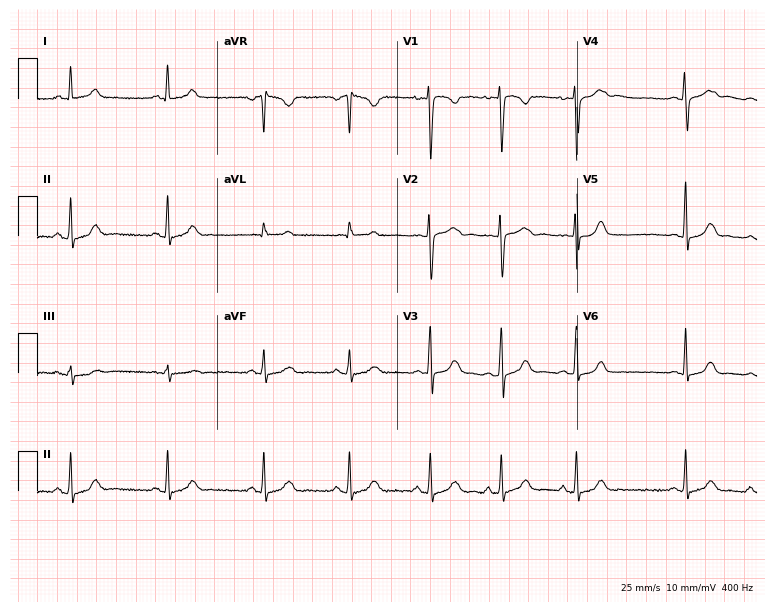
Electrocardiogram, a man, 22 years old. Of the six screened findings (first-degree AV block, right bundle branch block (RBBB), left bundle branch block (LBBB), sinus bradycardia, atrial fibrillation (AF), sinus tachycardia), none is recorded.